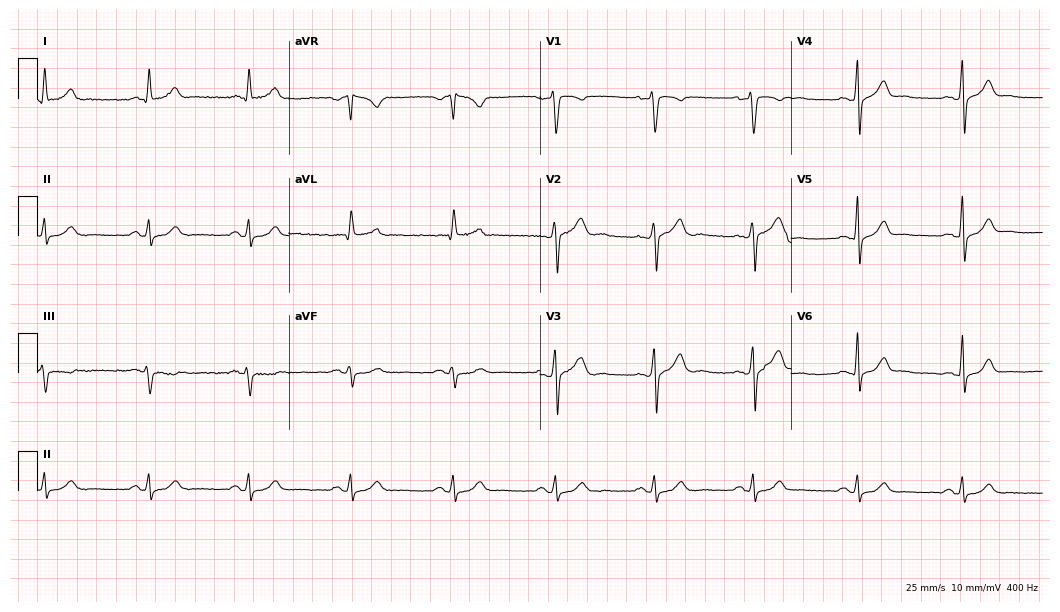
12-lead ECG from a 45-year-old male (10.2-second recording at 400 Hz). Recorded interpretation: within normal limits.